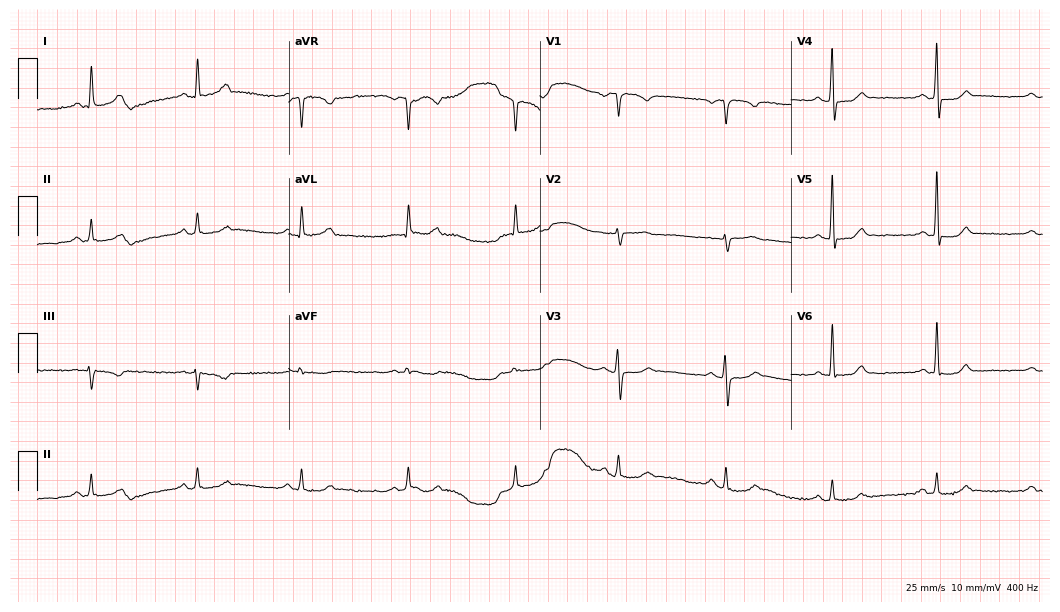
ECG (10.2-second recording at 400 Hz) — a female, 65 years old. Screened for six findings — first-degree AV block, right bundle branch block, left bundle branch block, sinus bradycardia, atrial fibrillation, sinus tachycardia — none is recorded. Findings outside these six are not listed.